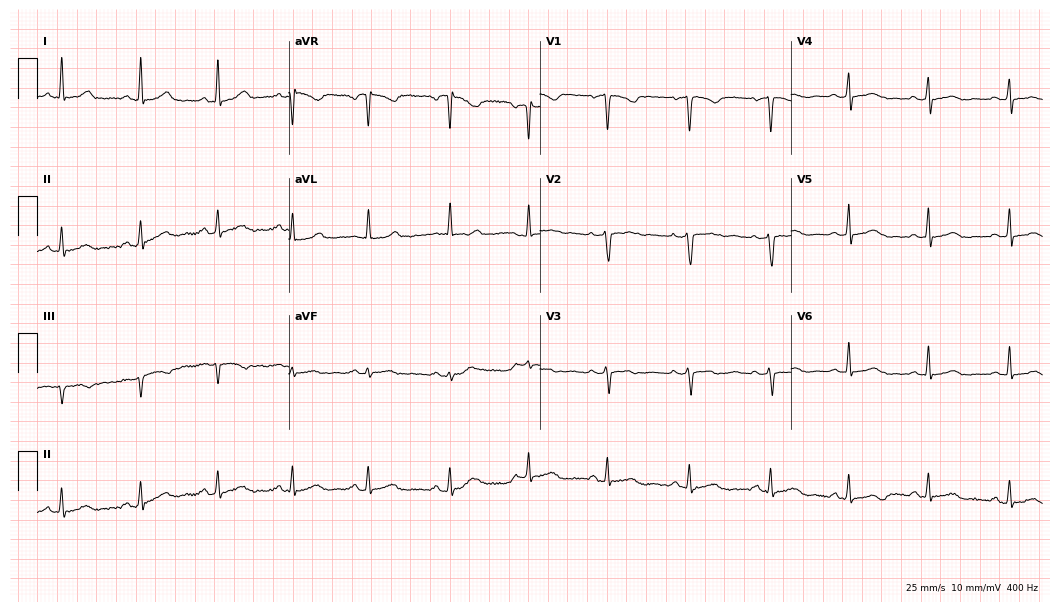
12-lead ECG from a 35-year-old female. Labelled as a normal ECG.